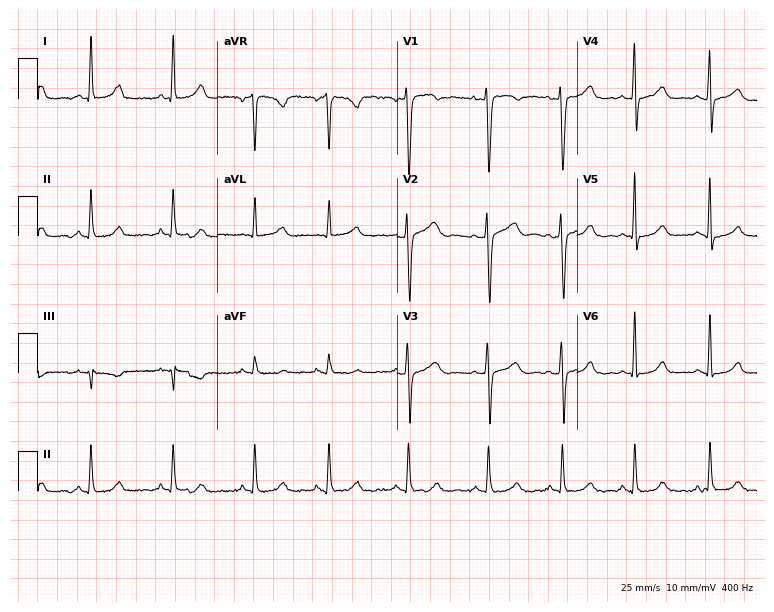
ECG — a female patient, 40 years old. Labelled as a normal ECG.